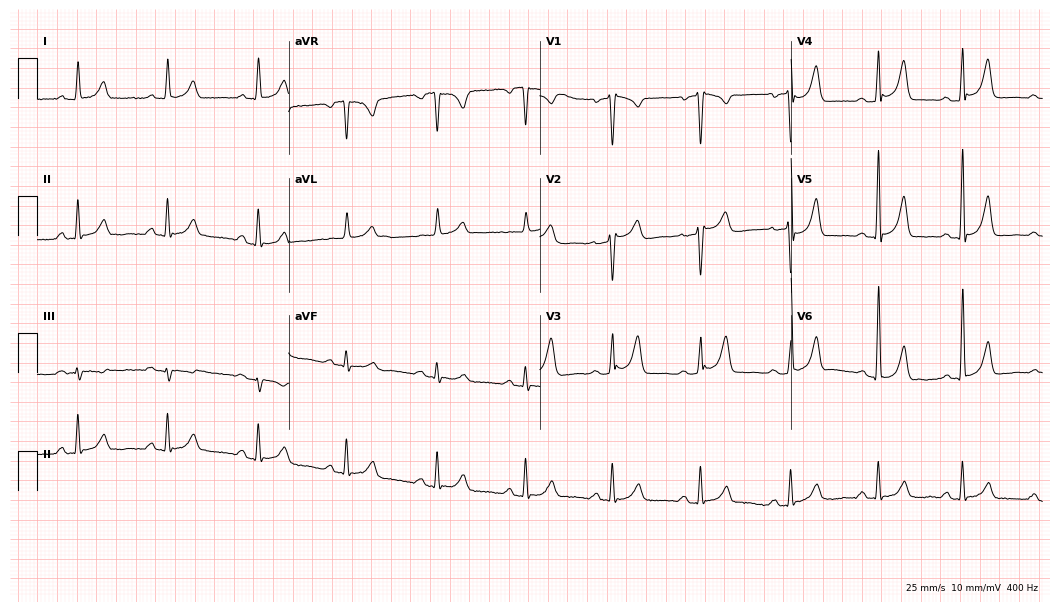
12-lead ECG (10.2-second recording at 400 Hz) from a 59-year-old woman. Screened for six findings — first-degree AV block, right bundle branch block, left bundle branch block, sinus bradycardia, atrial fibrillation, sinus tachycardia — none is recorded.